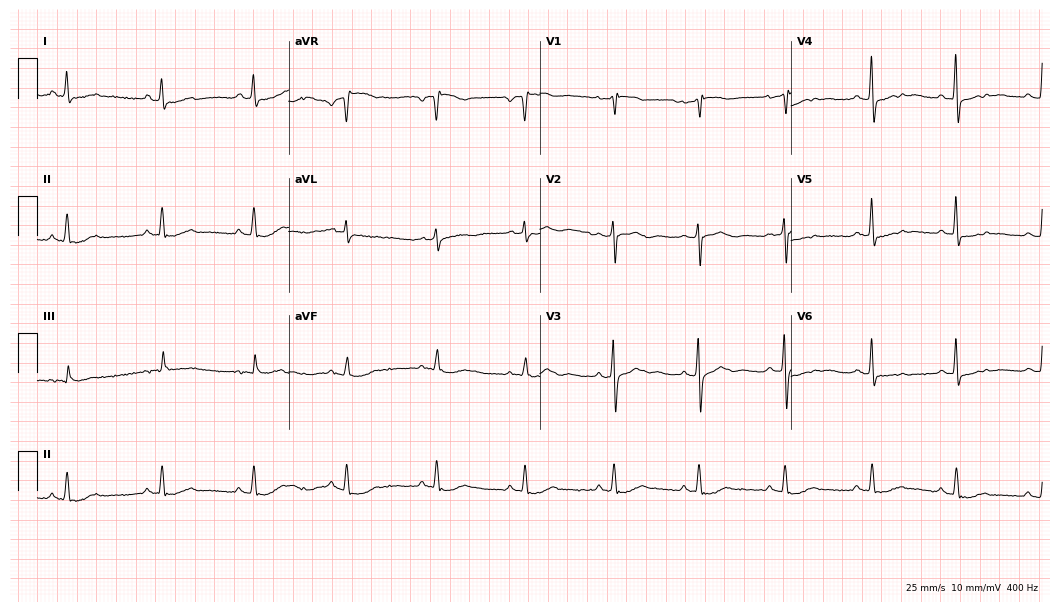
Resting 12-lead electrocardiogram (10.2-second recording at 400 Hz). Patient: a man, 66 years old. None of these six findings is recorded: first-degree AV block, right bundle branch block, left bundle branch block, sinus bradycardia, atrial fibrillation, sinus tachycardia.